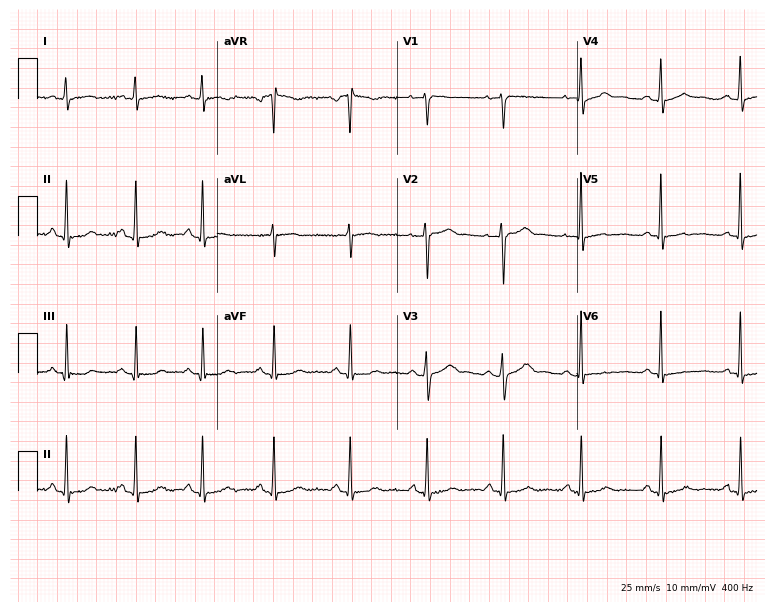
Resting 12-lead electrocardiogram (7.3-second recording at 400 Hz). Patient: a female, 52 years old. Read as a normal ECG.